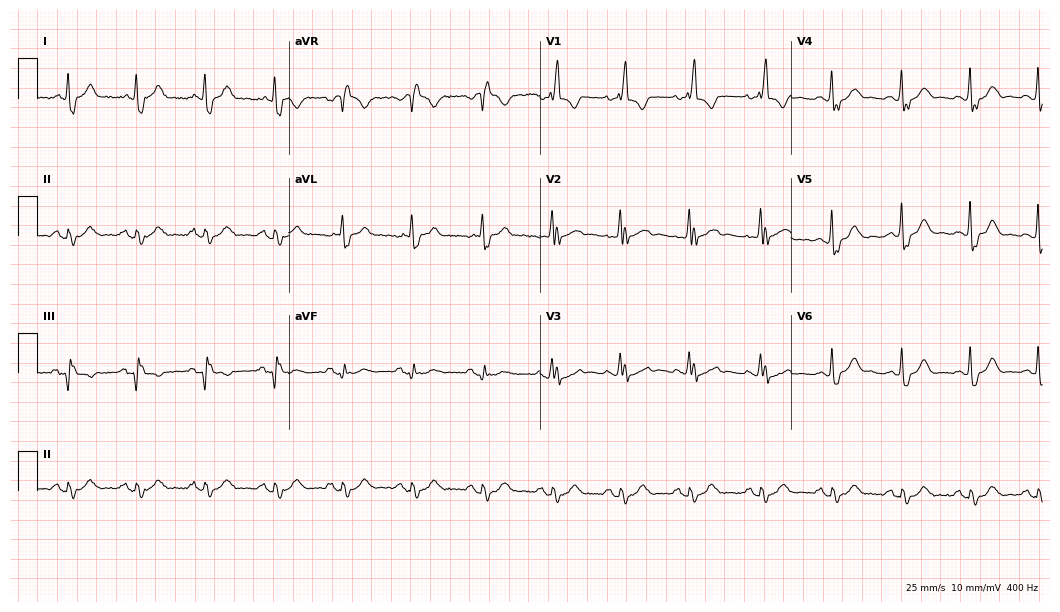
Electrocardiogram (10.2-second recording at 400 Hz), a woman, 70 years old. Interpretation includes right bundle branch block.